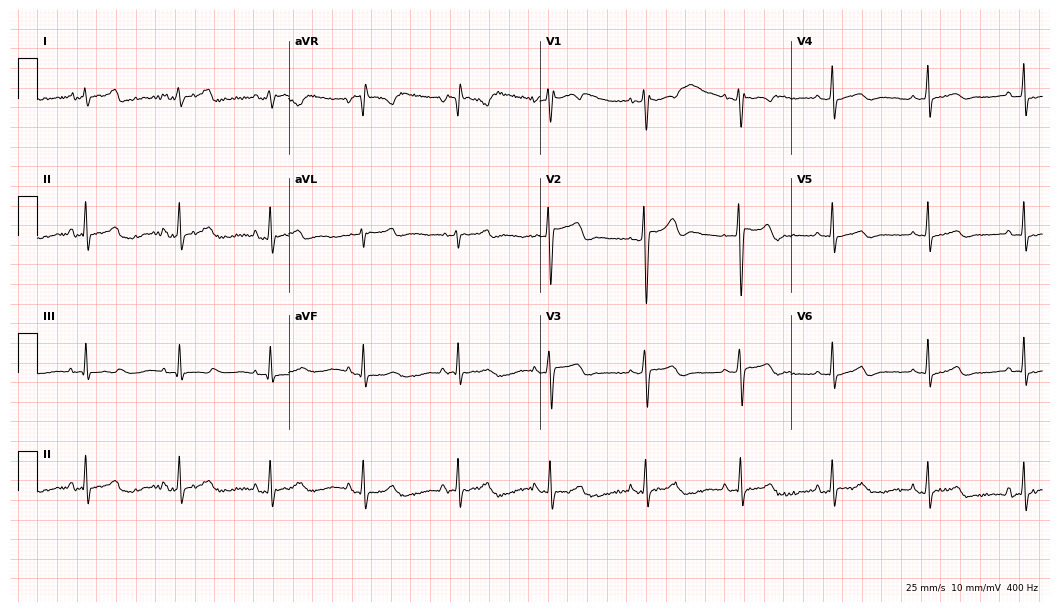
Electrocardiogram (10.2-second recording at 400 Hz), a 19-year-old female patient. Overall reading on record: normal ECG.